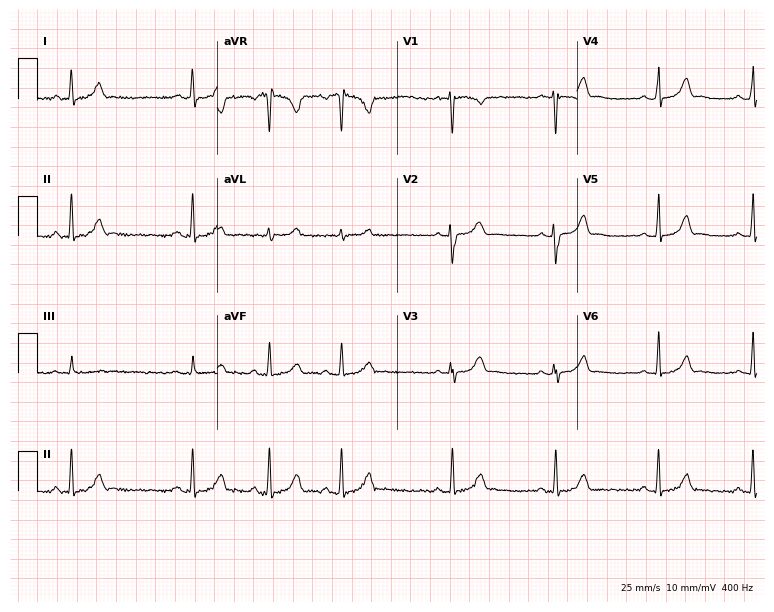
Resting 12-lead electrocardiogram. Patient: a 23-year-old woman. Read as a normal ECG.